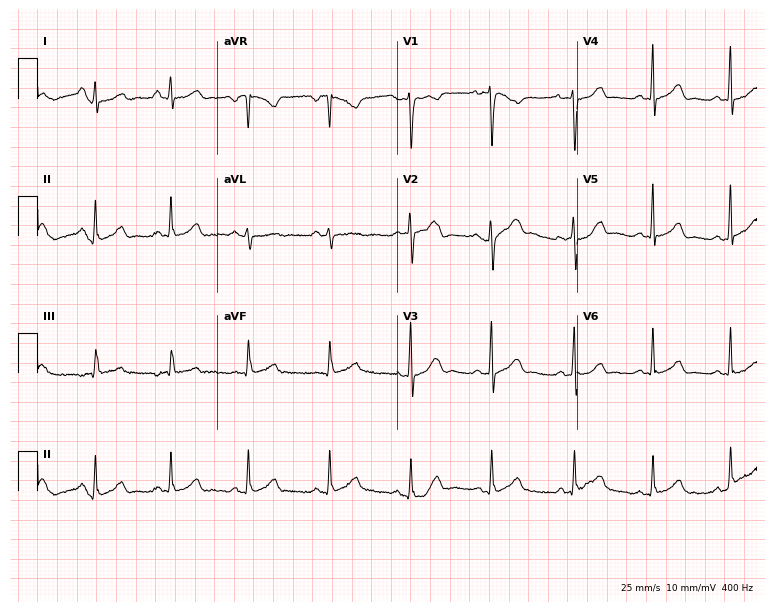
Electrocardiogram (7.3-second recording at 400 Hz), a 46-year-old female. Overall reading on record: normal ECG.